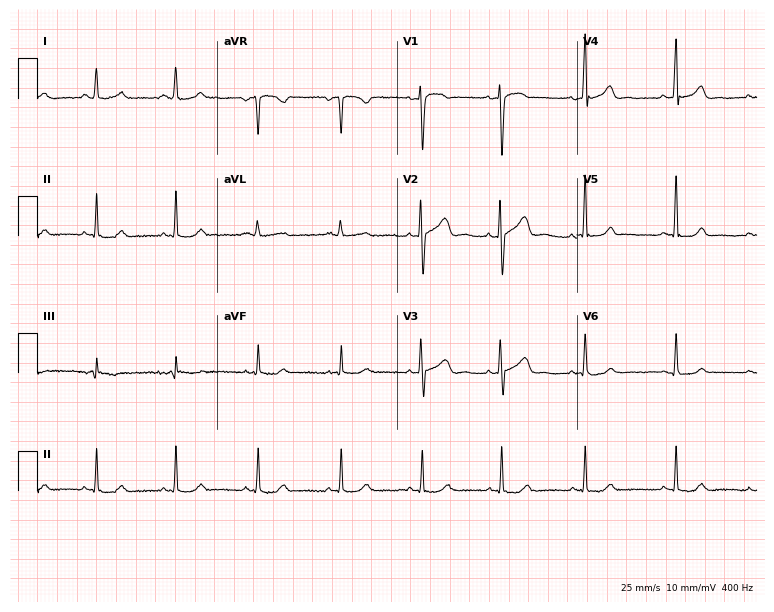
12-lead ECG from a 30-year-old female patient. Recorded interpretation: within normal limits.